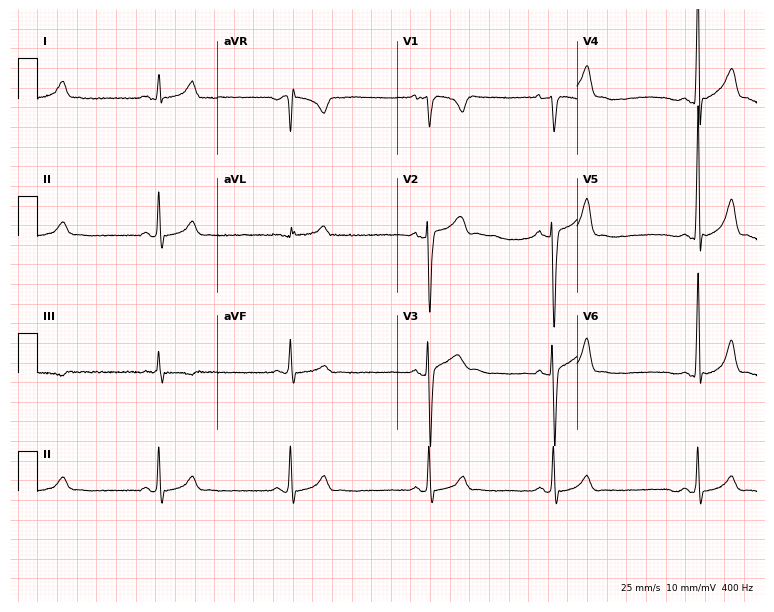
ECG (7.3-second recording at 400 Hz) — a 26-year-old male patient. Screened for six findings — first-degree AV block, right bundle branch block (RBBB), left bundle branch block (LBBB), sinus bradycardia, atrial fibrillation (AF), sinus tachycardia — none is recorded. Findings outside these six are not listed.